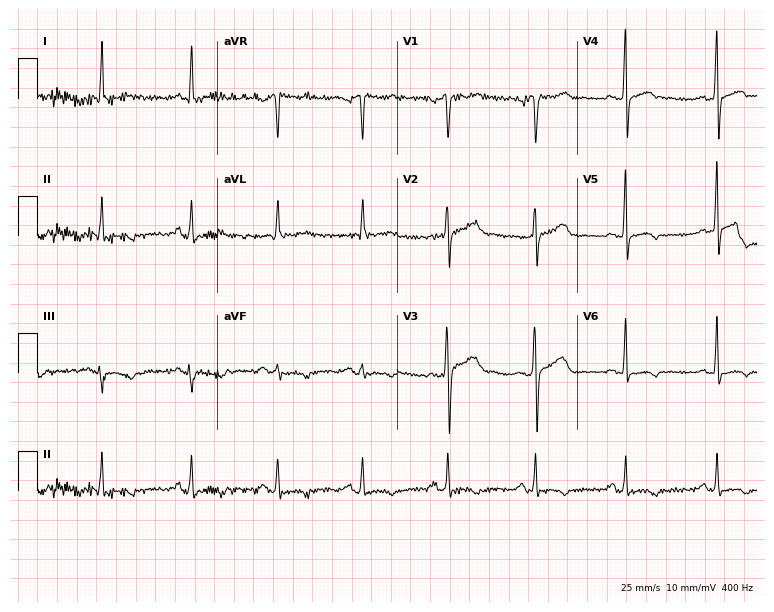
Standard 12-lead ECG recorded from a 50-year-old male (7.3-second recording at 400 Hz). None of these six findings is recorded: first-degree AV block, right bundle branch block, left bundle branch block, sinus bradycardia, atrial fibrillation, sinus tachycardia. Other findings, if any, are not listed.